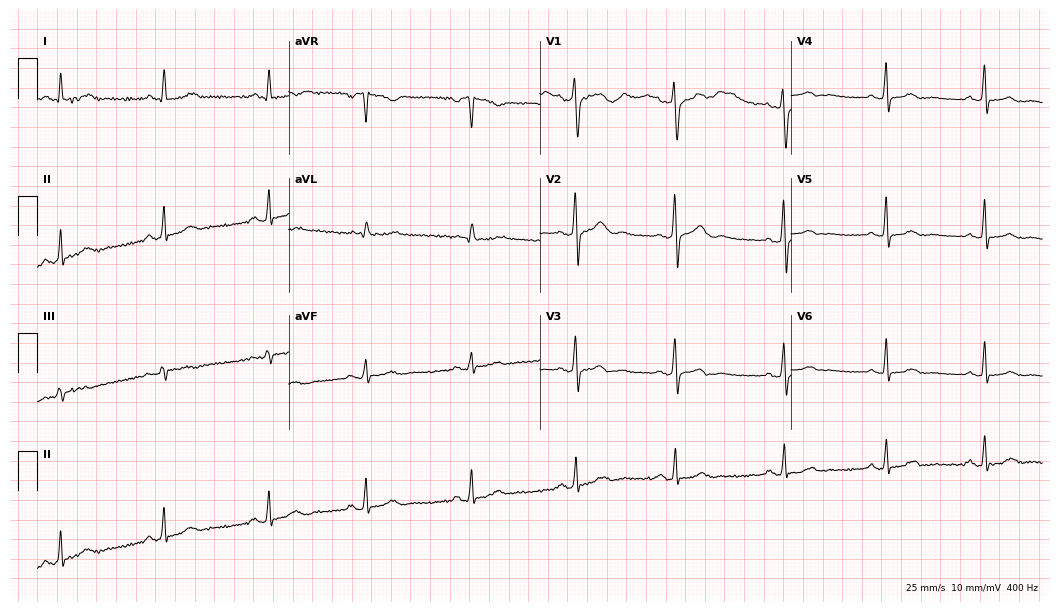
12-lead ECG (10.2-second recording at 400 Hz) from a woman, 51 years old. Labelled as a normal ECG.